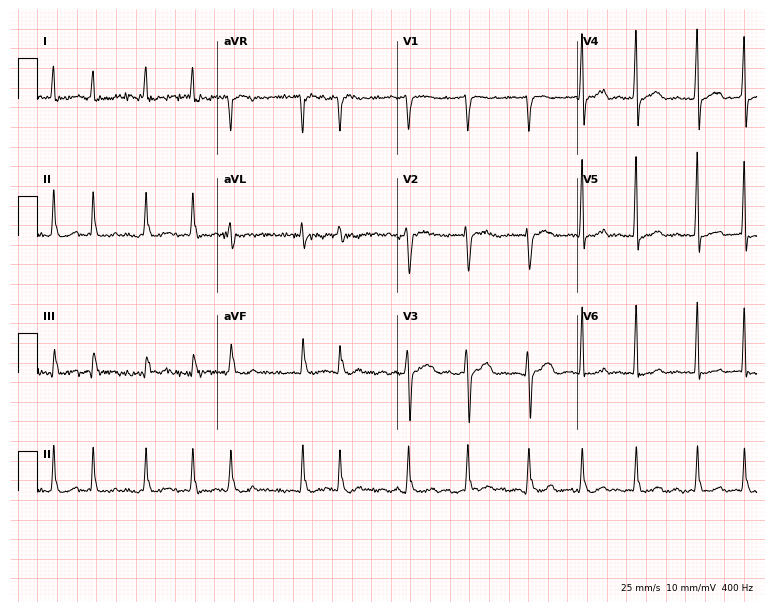
12-lead ECG from a woman, 50 years old. Findings include atrial fibrillation.